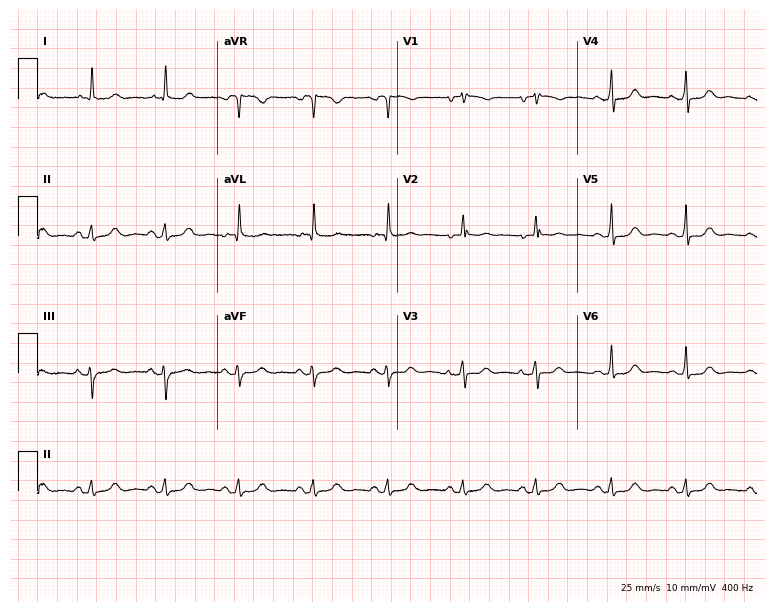
Standard 12-lead ECG recorded from a 77-year-old woman. Read as a normal ECG.